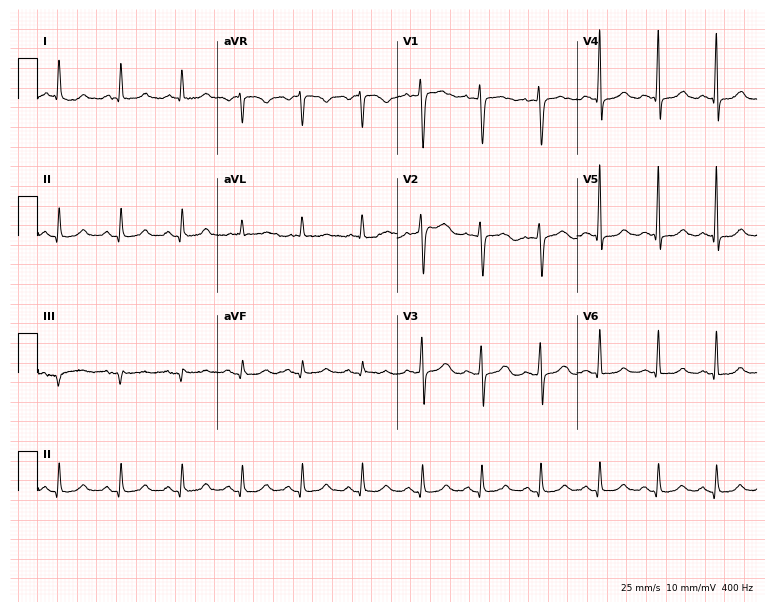
12-lead ECG (7.3-second recording at 400 Hz) from a woman, 47 years old. Labelled as a normal ECG.